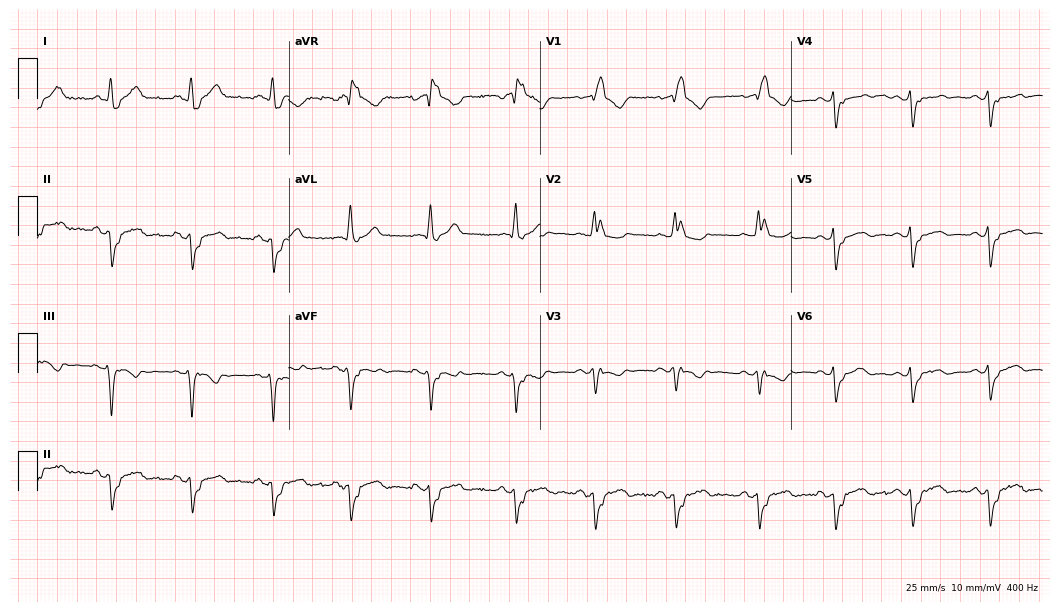
12-lead ECG (10.2-second recording at 400 Hz) from a 44-year-old female. Findings include right bundle branch block.